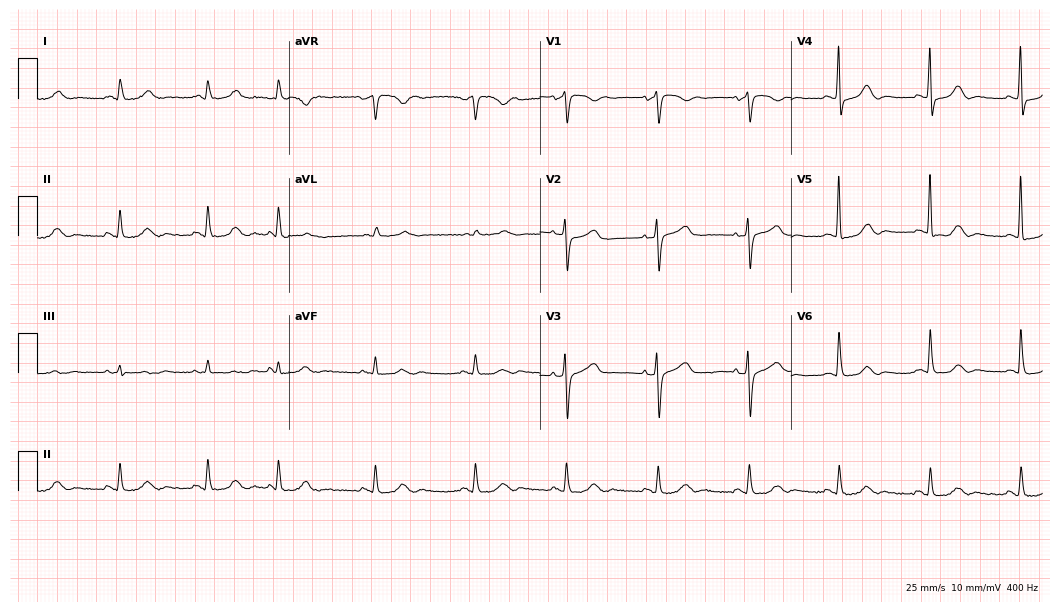
Standard 12-lead ECG recorded from a 69-year-old woman. Read as a normal ECG.